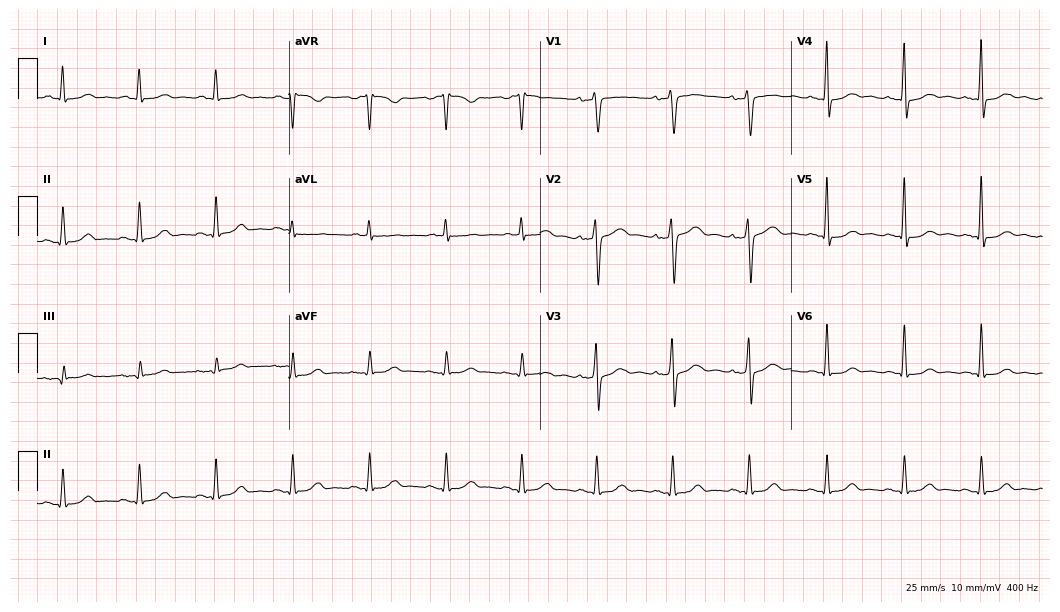
Resting 12-lead electrocardiogram. Patient: a 49-year-old man. None of these six findings is recorded: first-degree AV block, right bundle branch block, left bundle branch block, sinus bradycardia, atrial fibrillation, sinus tachycardia.